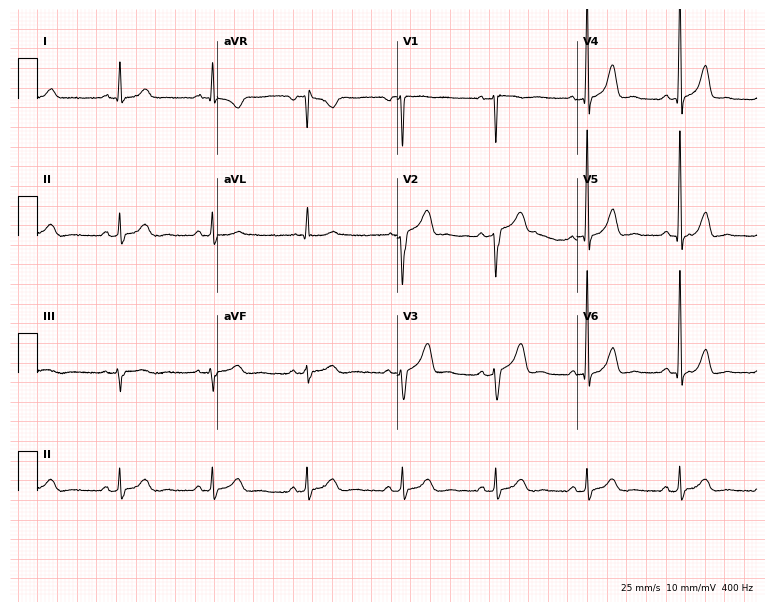
12-lead ECG from a 54-year-old man (7.3-second recording at 400 Hz). Recorded interpretation: within normal limits.